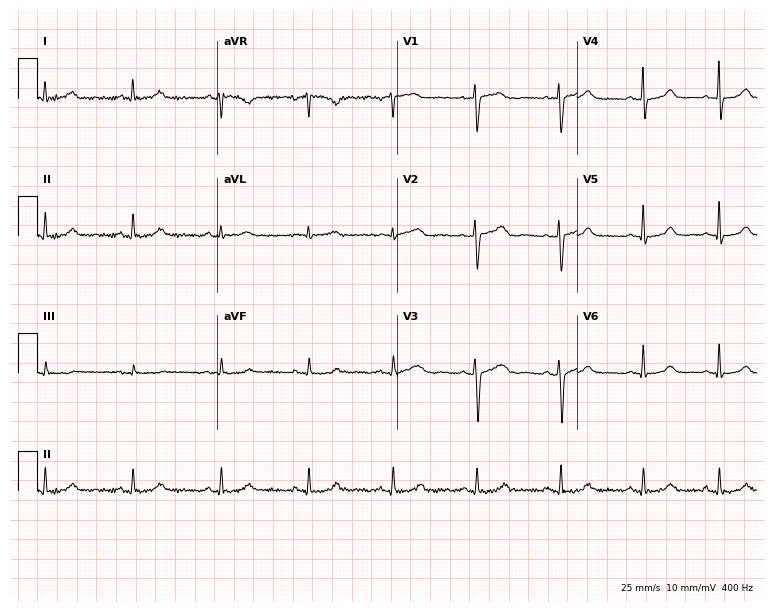
ECG (7.3-second recording at 400 Hz) — a woman, 53 years old. Labelled as a normal ECG.